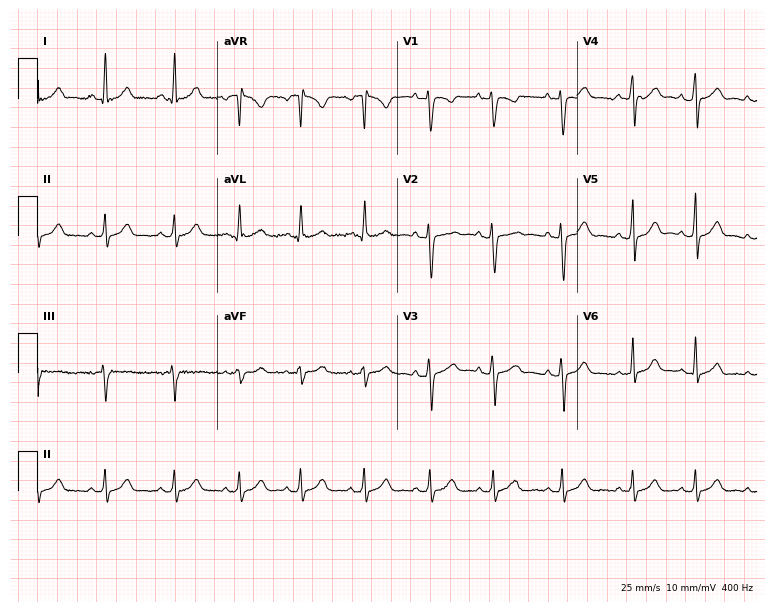
Resting 12-lead electrocardiogram (7.3-second recording at 400 Hz). Patient: a female, 24 years old. Read as a normal ECG.